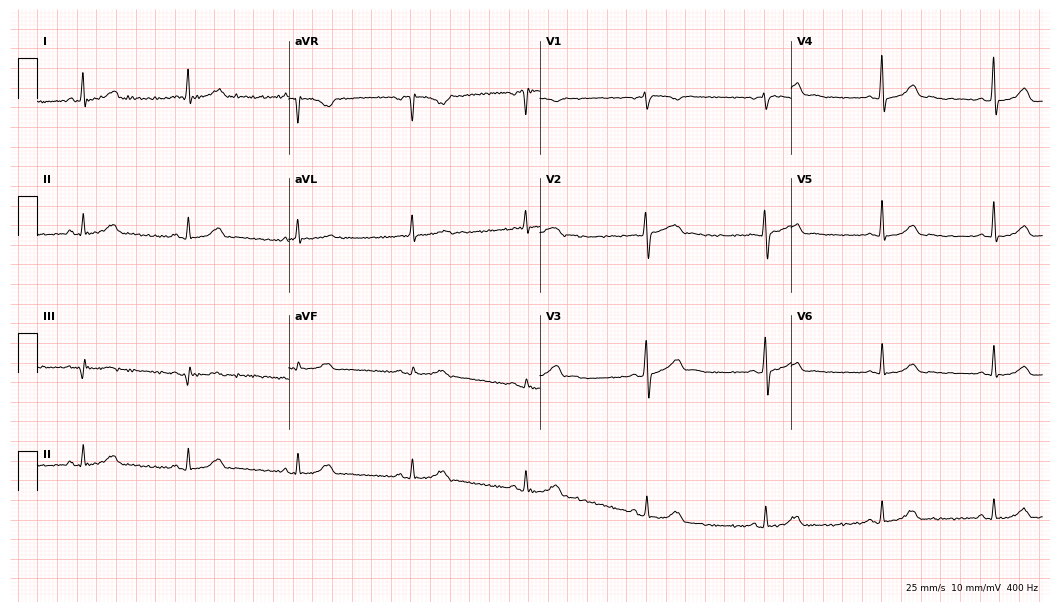
12-lead ECG from a 50-year-old woman. Recorded interpretation: within normal limits.